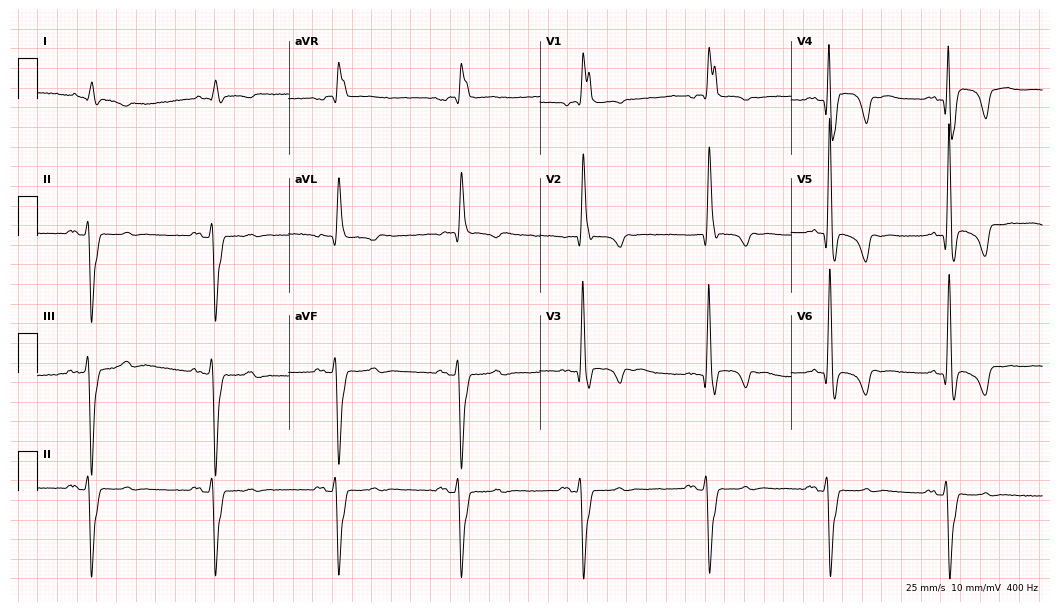
Standard 12-lead ECG recorded from a 79-year-old male (10.2-second recording at 400 Hz). None of these six findings is recorded: first-degree AV block, right bundle branch block (RBBB), left bundle branch block (LBBB), sinus bradycardia, atrial fibrillation (AF), sinus tachycardia. Other findings, if any, are not listed.